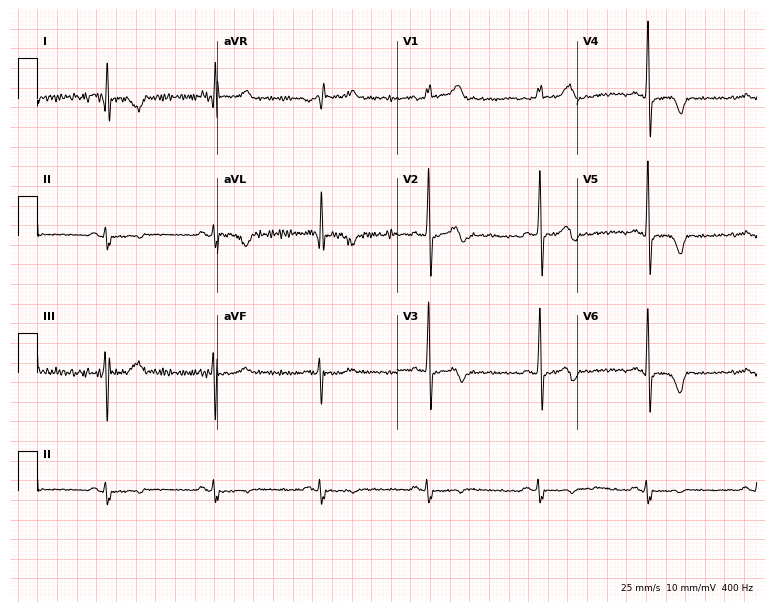
12-lead ECG from a 76-year-old male patient. Screened for six findings — first-degree AV block, right bundle branch block, left bundle branch block, sinus bradycardia, atrial fibrillation, sinus tachycardia — none is recorded.